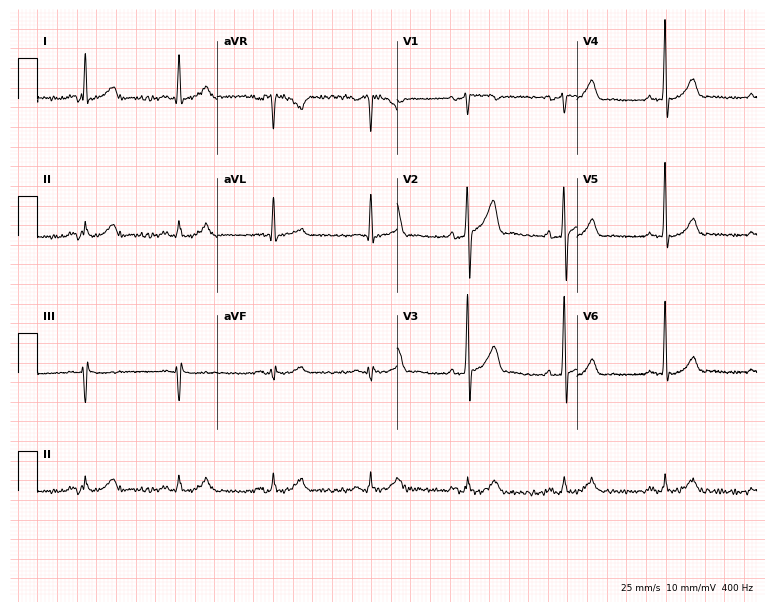
Standard 12-lead ECG recorded from a 48-year-old male patient. Read as a normal ECG.